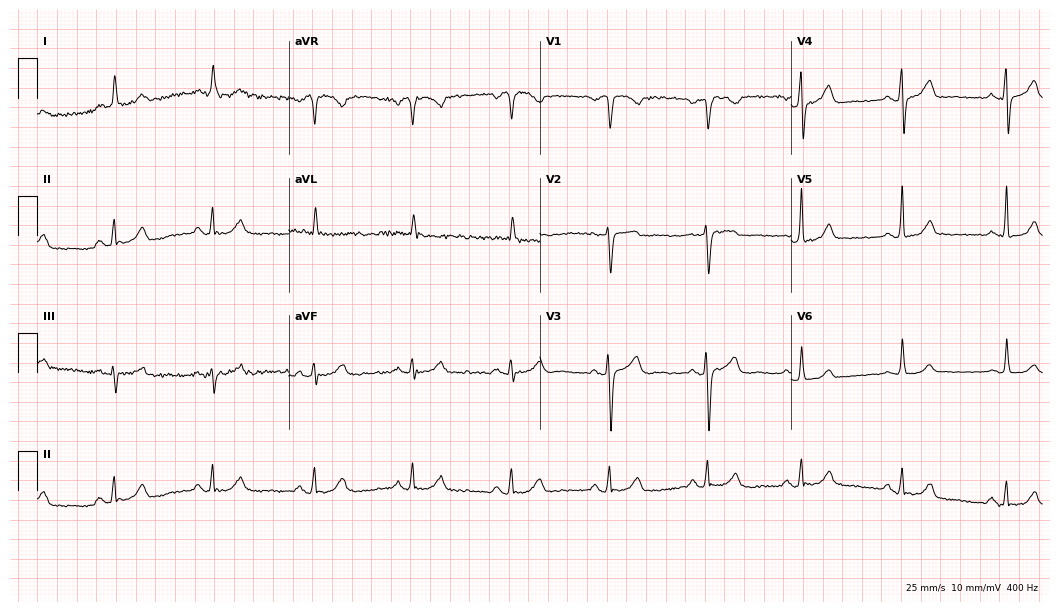
12-lead ECG (10.2-second recording at 400 Hz) from a woman, 66 years old. Labelled as a normal ECG.